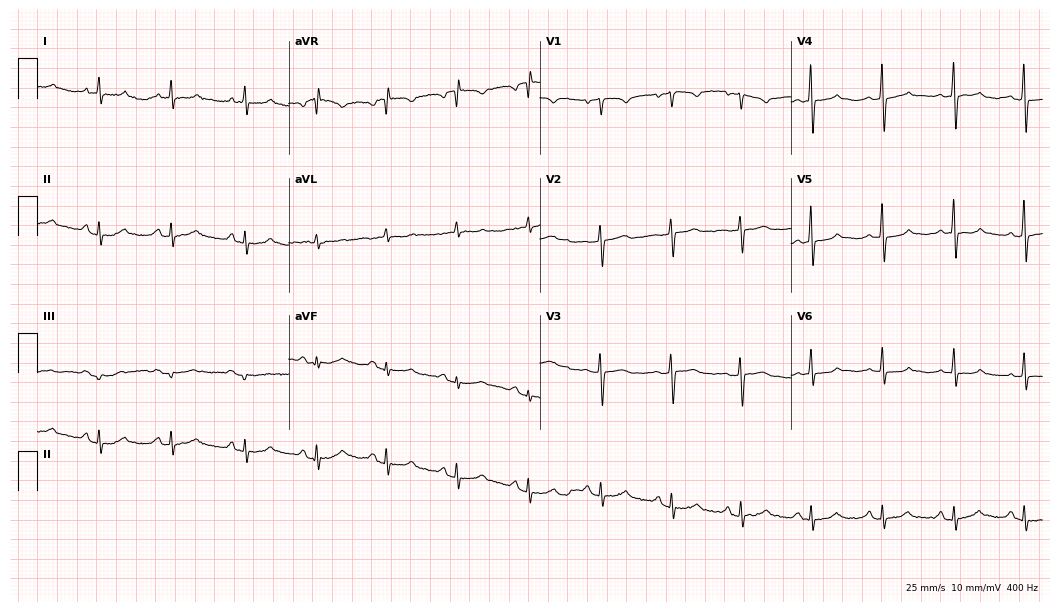
Electrocardiogram, a 51-year-old female patient. Overall reading on record: normal ECG.